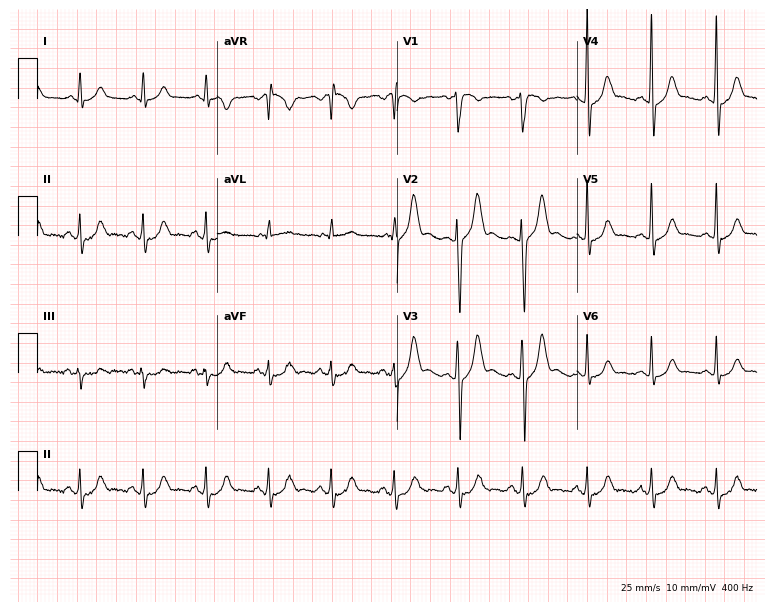
Electrocardiogram, a 51-year-old man. Of the six screened findings (first-degree AV block, right bundle branch block (RBBB), left bundle branch block (LBBB), sinus bradycardia, atrial fibrillation (AF), sinus tachycardia), none is recorded. Other findings, if any, are not listed.